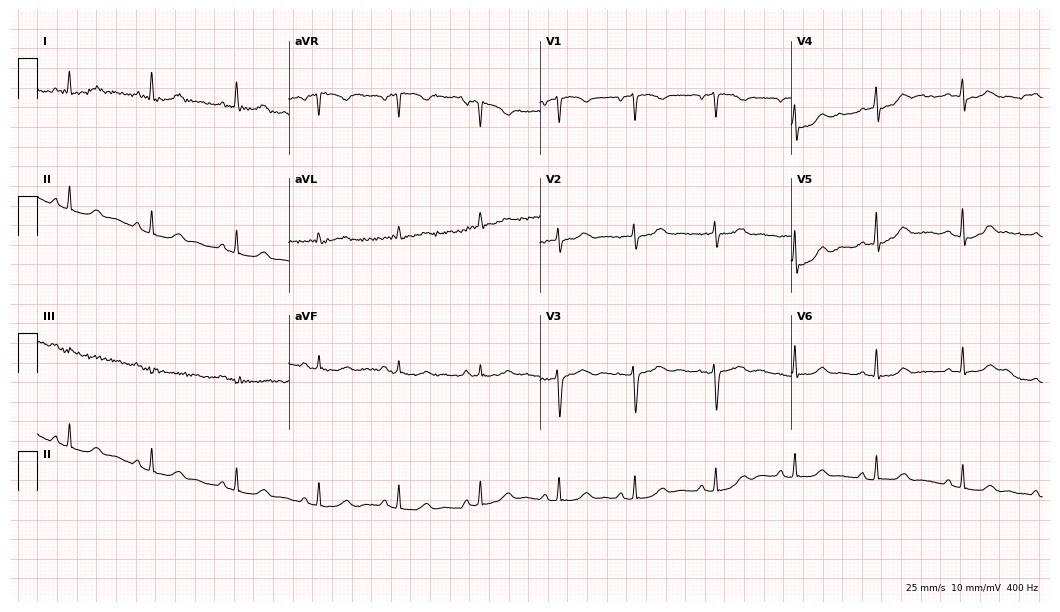
Resting 12-lead electrocardiogram. Patient: a female, 67 years old. None of these six findings is recorded: first-degree AV block, right bundle branch block (RBBB), left bundle branch block (LBBB), sinus bradycardia, atrial fibrillation (AF), sinus tachycardia. Only these six findings were labelled.